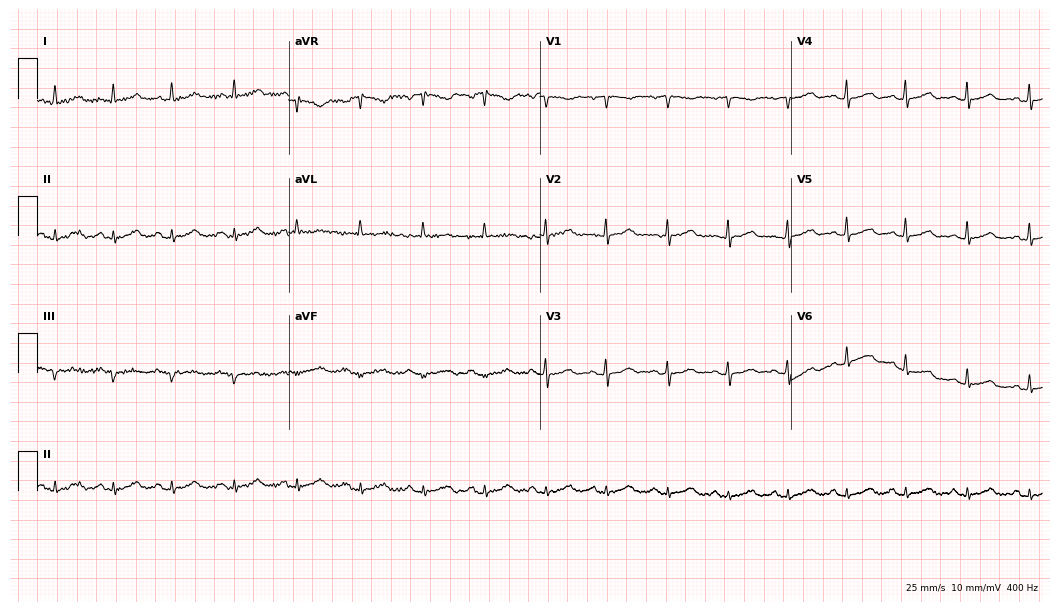
Standard 12-lead ECG recorded from a female, 49 years old. None of these six findings is recorded: first-degree AV block, right bundle branch block (RBBB), left bundle branch block (LBBB), sinus bradycardia, atrial fibrillation (AF), sinus tachycardia.